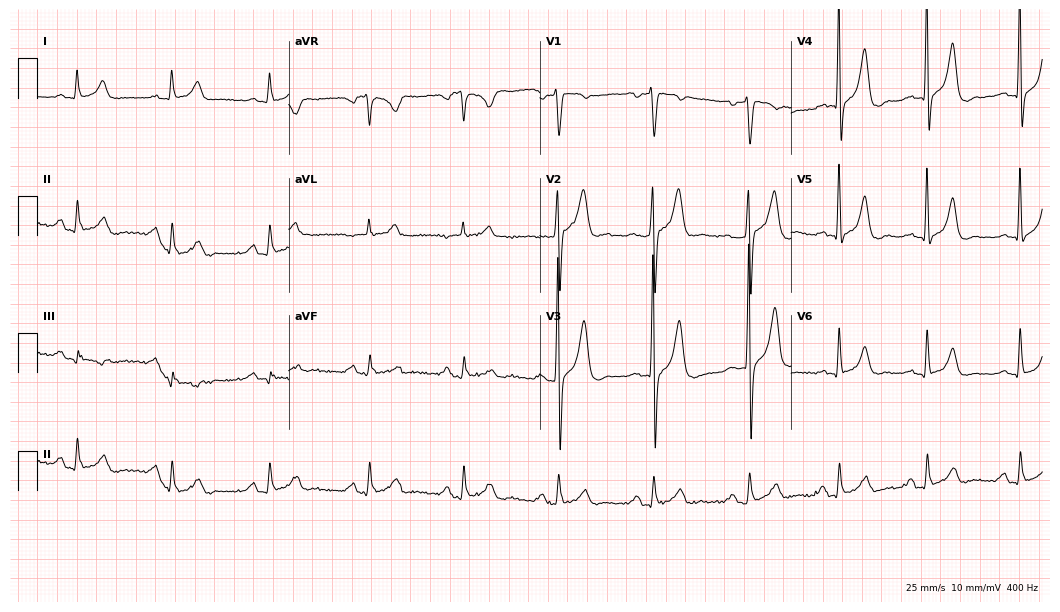
Resting 12-lead electrocardiogram (10.2-second recording at 400 Hz). Patient: a man, 48 years old. None of these six findings is recorded: first-degree AV block, right bundle branch block (RBBB), left bundle branch block (LBBB), sinus bradycardia, atrial fibrillation (AF), sinus tachycardia.